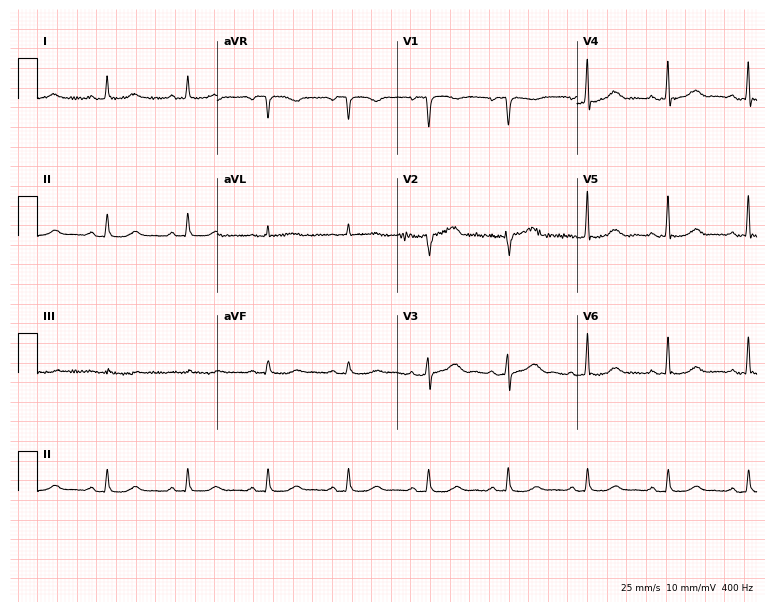
Electrocardiogram (7.3-second recording at 400 Hz), a 69-year-old female. Of the six screened findings (first-degree AV block, right bundle branch block, left bundle branch block, sinus bradycardia, atrial fibrillation, sinus tachycardia), none is recorded.